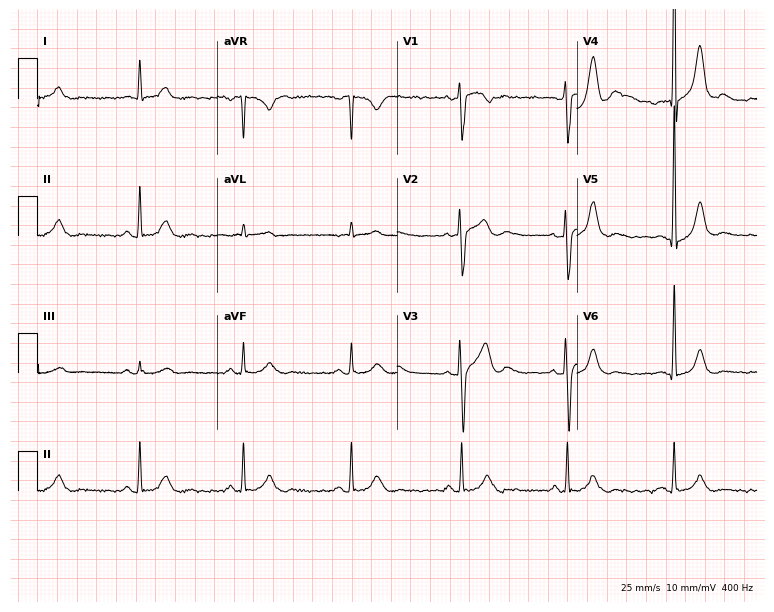
12-lead ECG from a 50-year-old male patient (7.3-second recording at 400 Hz). No first-degree AV block, right bundle branch block, left bundle branch block, sinus bradycardia, atrial fibrillation or sinus tachycardia recorded for this tracing. Only these six findings were labelled.